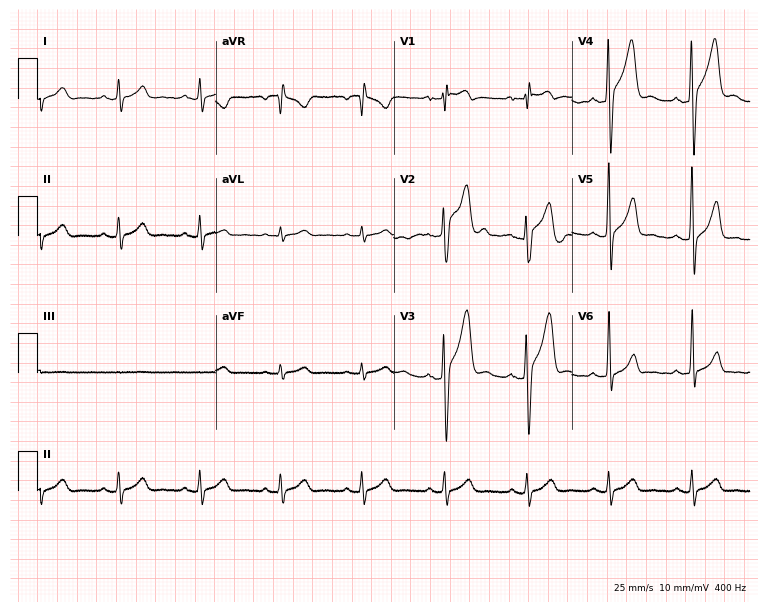
Electrocardiogram (7.3-second recording at 400 Hz), a male patient, 19 years old. Of the six screened findings (first-degree AV block, right bundle branch block (RBBB), left bundle branch block (LBBB), sinus bradycardia, atrial fibrillation (AF), sinus tachycardia), none is recorded. Other findings, if any, are not listed.